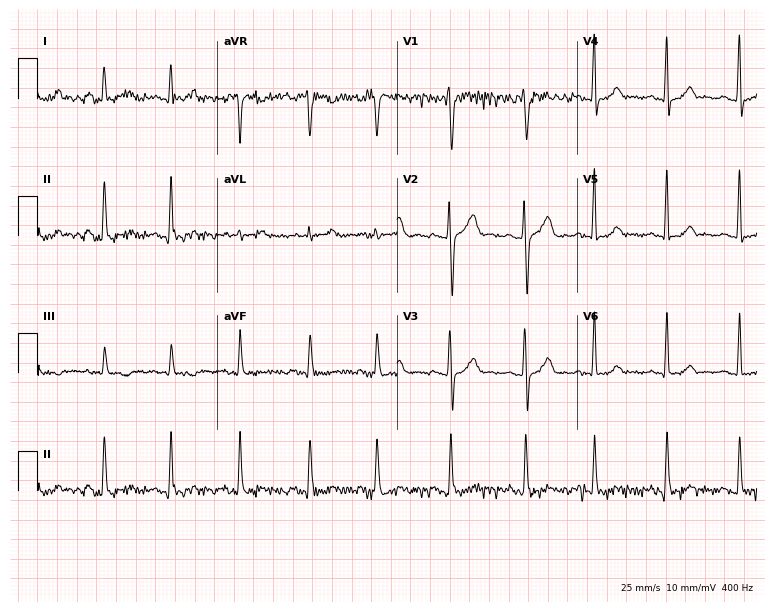
Electrocardiogram, a 21-year-old man. Overall reading on record: normal ECG.